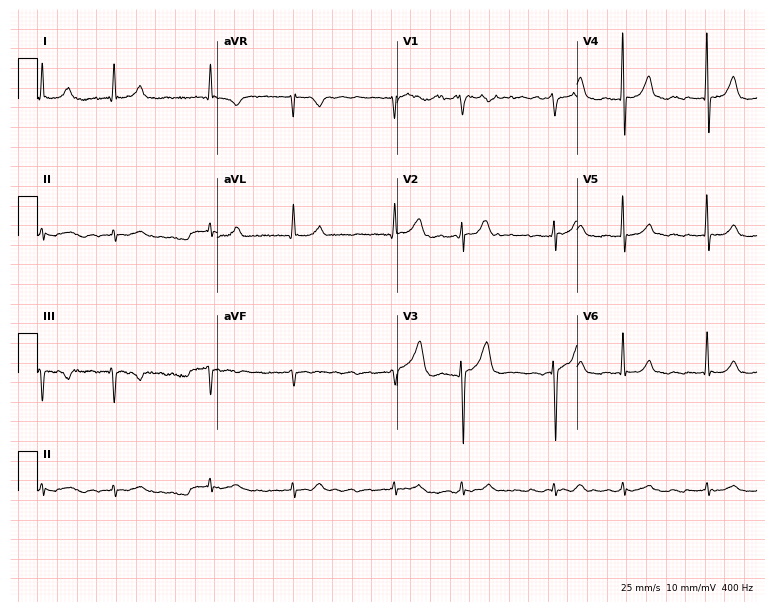
12-lead ECG from a 79-year-old male patient (7.3-second recording at 400 Hz). Shows atrial fibrillation.